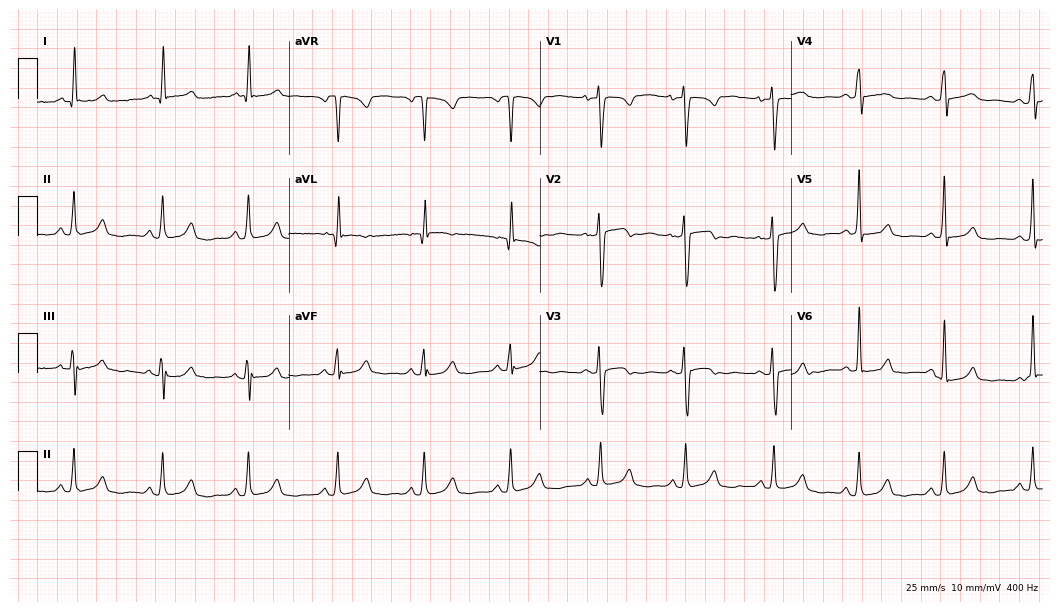
ECG (10.2-second recording at 400 Hz) — a 32-year-old female patient. Screened for six findings — first-degree AV block, right bundle branch block (RBBB), left bundle branch block (LBBB), sinus bradycardia, atrial fibrillation (AF), sinus tachycardia — none is recorded. Only these six findings were labelled.